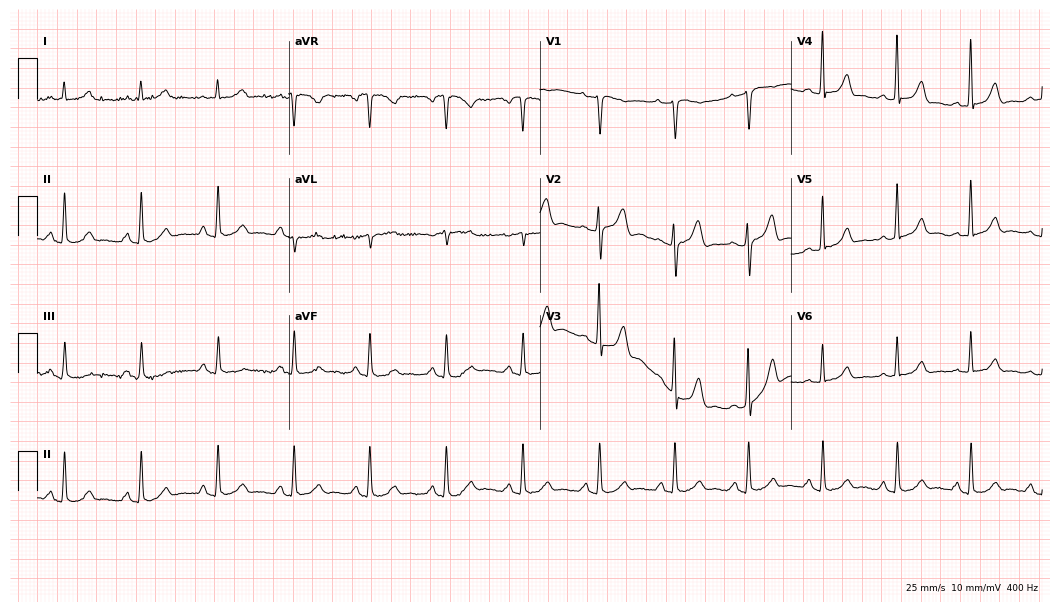
12-lead ECG from a 63-year-old man. Recorded interpretation: within normal limits.